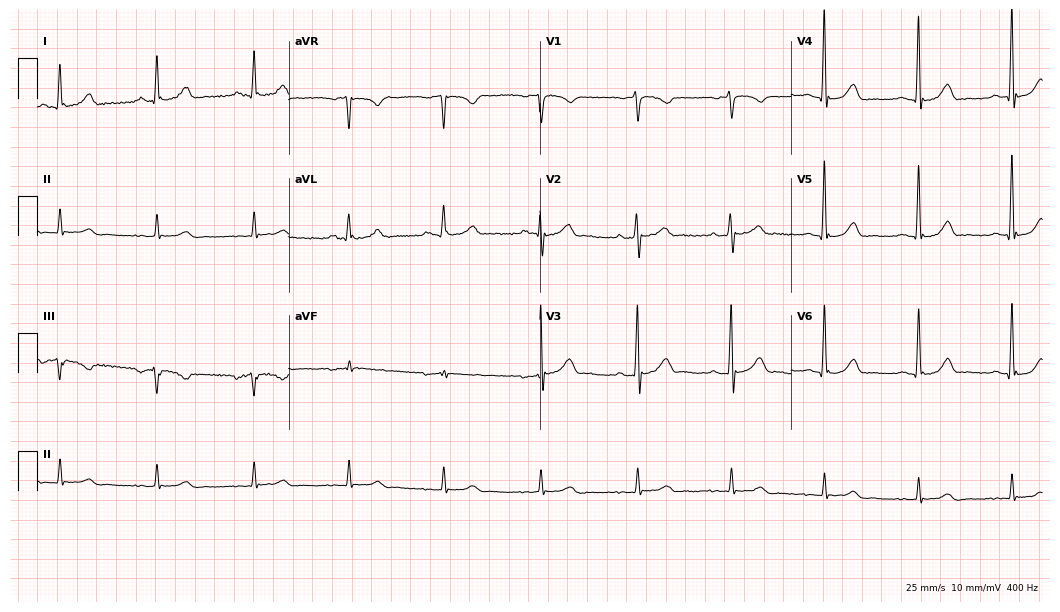
Standard 12-lead ECG recorded from a male patient, 67 years old. Read as a normal ECG.